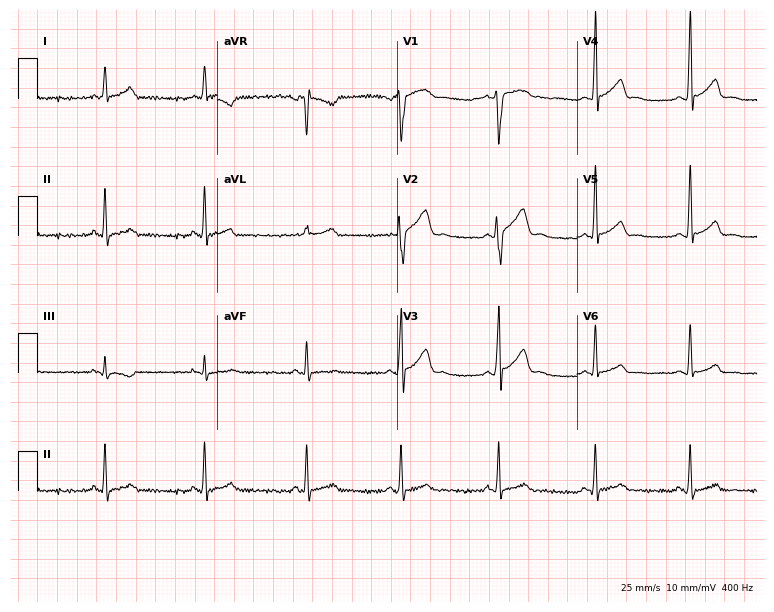
Electrocardiogram, a 24-year-old man. Of the six screened findings (first-degree AV block, right bundle branch block (RBBB), left bundle branch block (LBBB), sinus bradycardia, atrial fibrillation (AF), sinus tachycardia), none is recorded. Only these six findings were labelled.